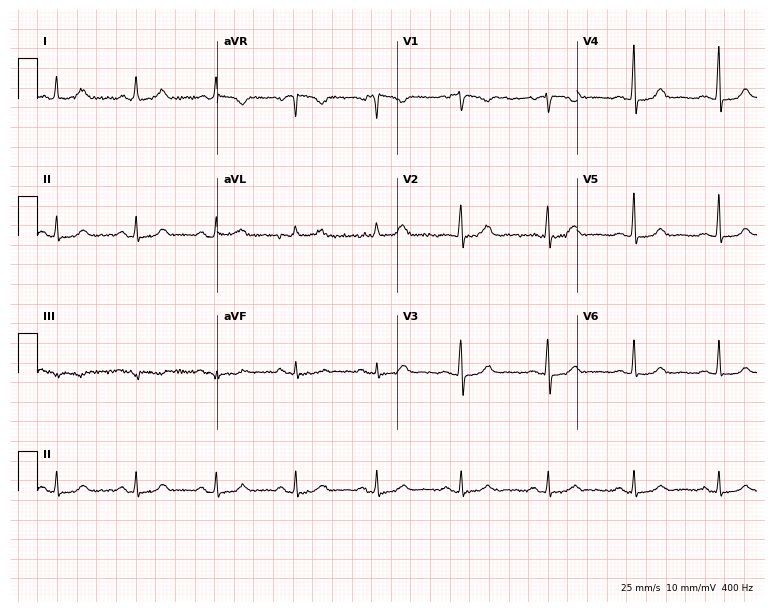
Electrocardiogram (7.3-second recording at 400 Hz), a 58-year-old woman. Overall reading on record: normal ECG.